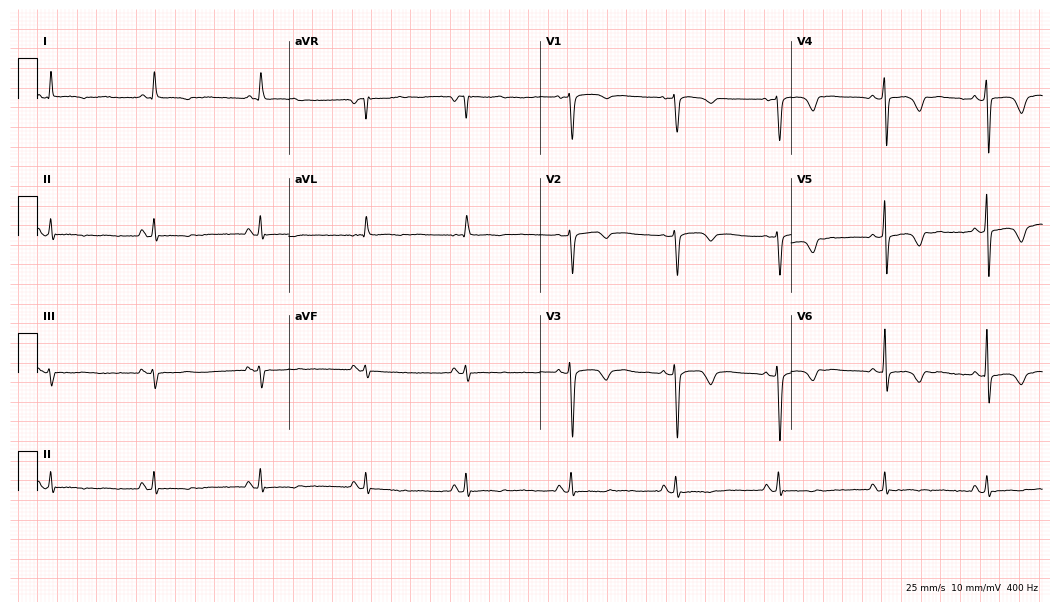
Resting 12-lead electrocardiogram. Patient: a female, 53 years old. None of these six findings is recorded: first-degree AV block, right bundle branch block, left bundle branch block, sinus bradycardia, atrial fibrillation, sinus tachycardia.